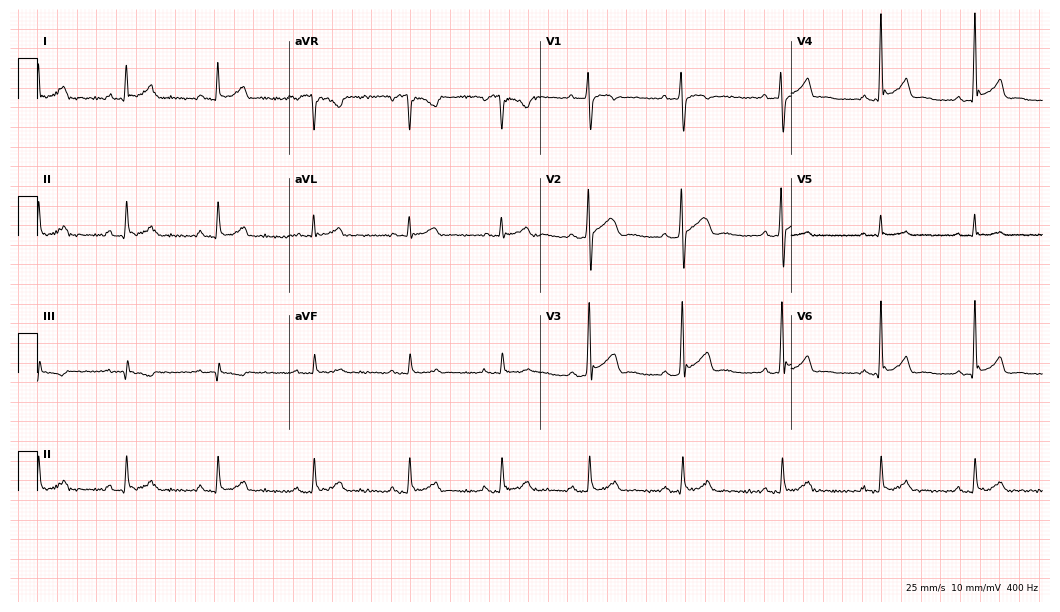
12-lead ECG (10.2-second recording at 400 Hz) from a male, 34 years old. Labelled as a normal ECG.